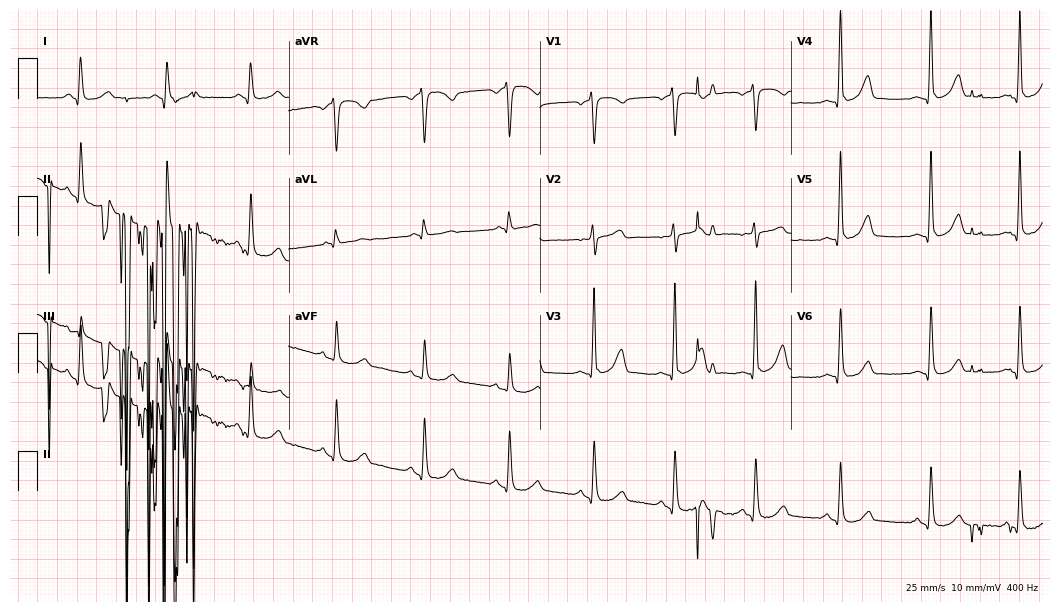
Resting 12-lead electrocardiogram. Patient: a female, 42 years old. Read as a normal ECG.